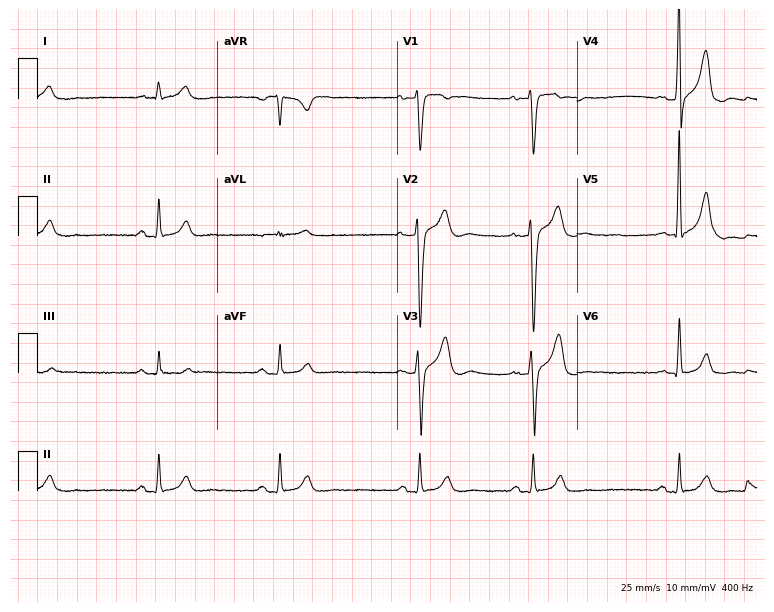
Standard 12-lead ECG recorded from a man, 47 years old (7.3-second recording at 400 Hz). The tracing shows sinus bradycardia (a sinus rate of 50 beats per minute or less).